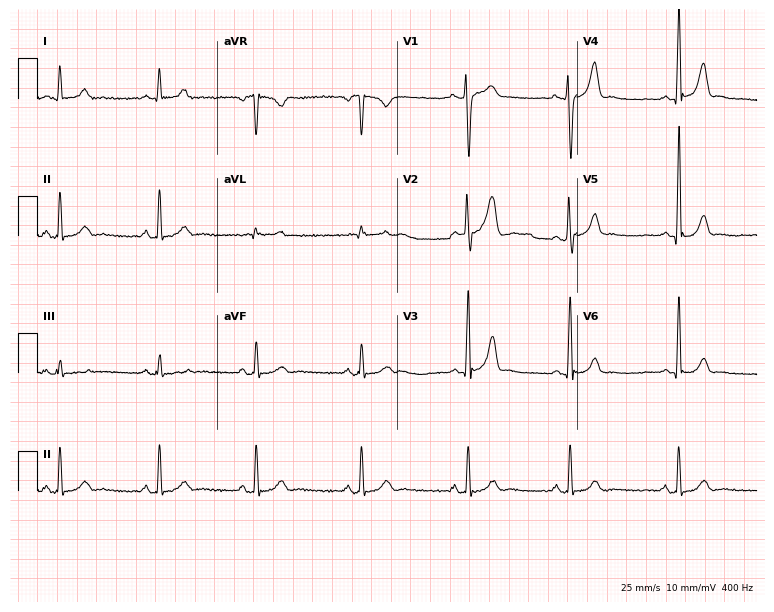
Electrocardiogram (7.3-second recording at 400 Hz), a 32-year-old male. Overall reading on record: normal ECG.